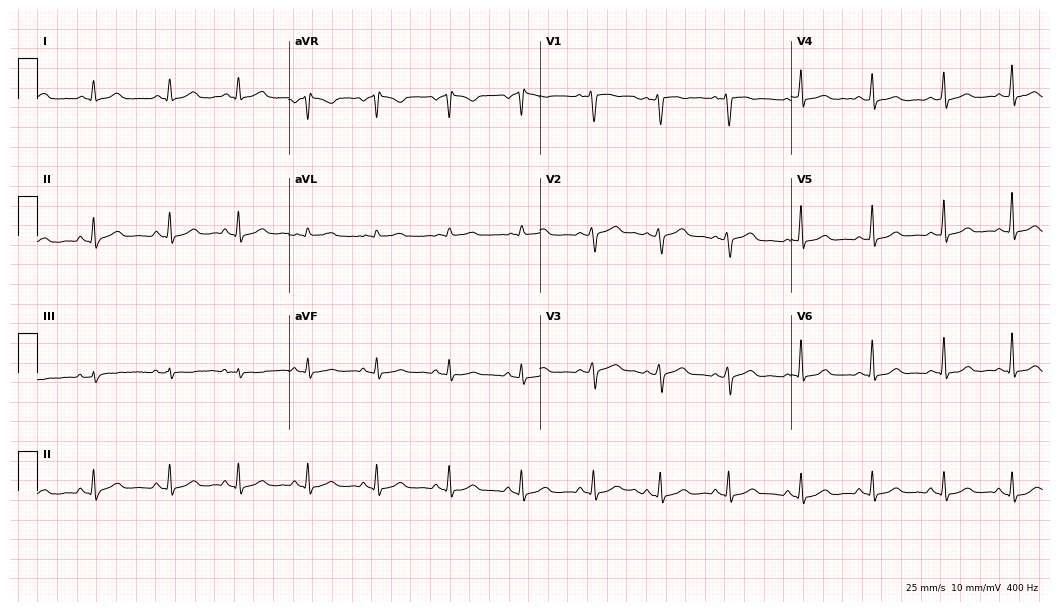
12-lead ECG from a female, 46 years old. Labelled as a normal ECG.